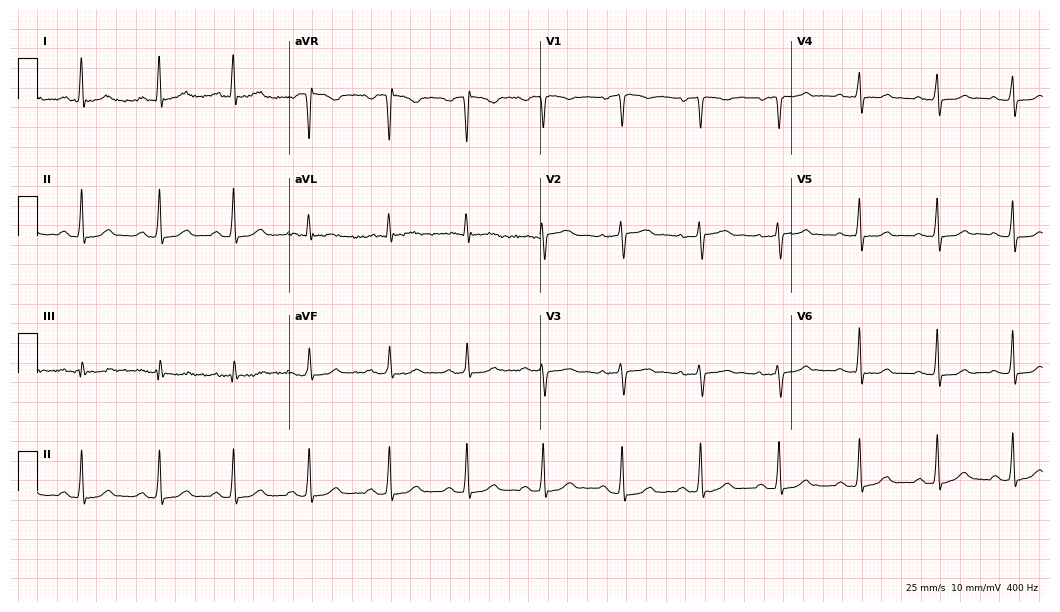
12-lead ECG (10.2-second recording at 400 Hz) from a female patient, 44 years old. Labelled as a normal ECG.